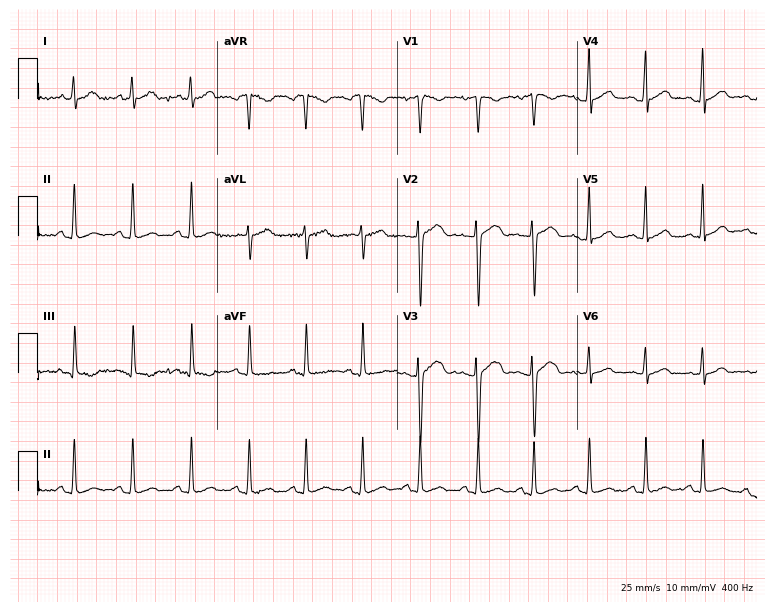
Standard 12-lead ECG recorded from an 18-year-old woman. The tracing shows sinus tachycardia (a sinus rate of 100 beats per minute or more).